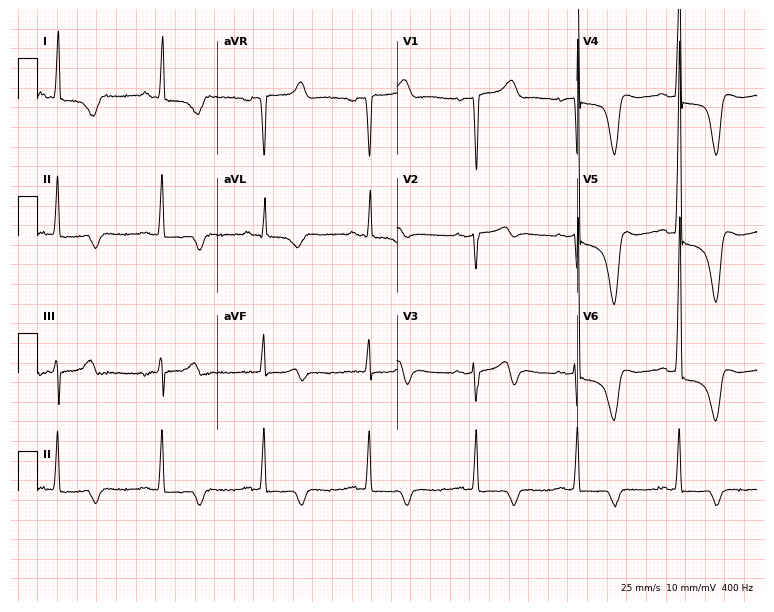
Resting 12-lead electrocardiogram. Patient: a female, 58 years old. None of these six findings is recorded: first-degree AV block, right bundle branch block, left bundle branch block, sinus bradycardia, atrial fibrillation, sinus tachycardia. Findings outside these six are not listed.